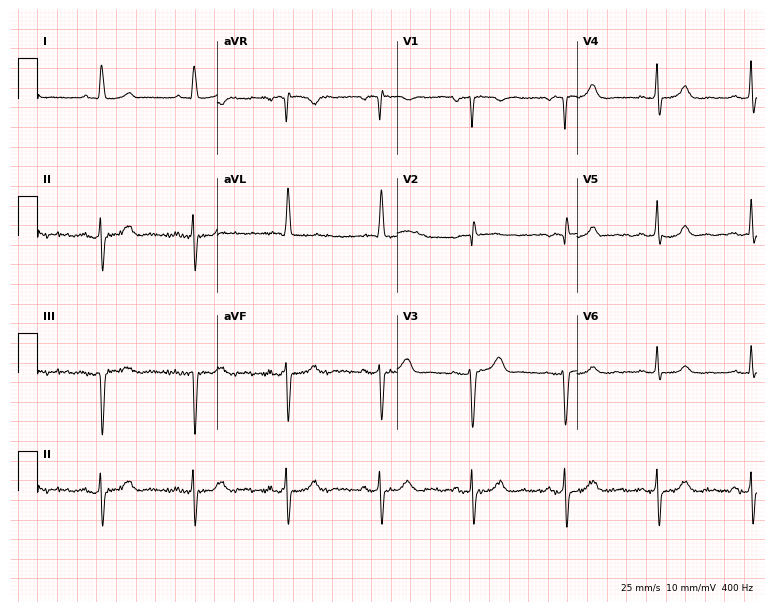
Standard 12-lead ECG recorded from a female, 73 years old (7.3-second recording at 400 Hz). None of these six findings is recorded: first-degree AV block, right bundle branch block, left bundle branch block, sinus bradycardia, atrial fibrillation, sinus tachycardia.